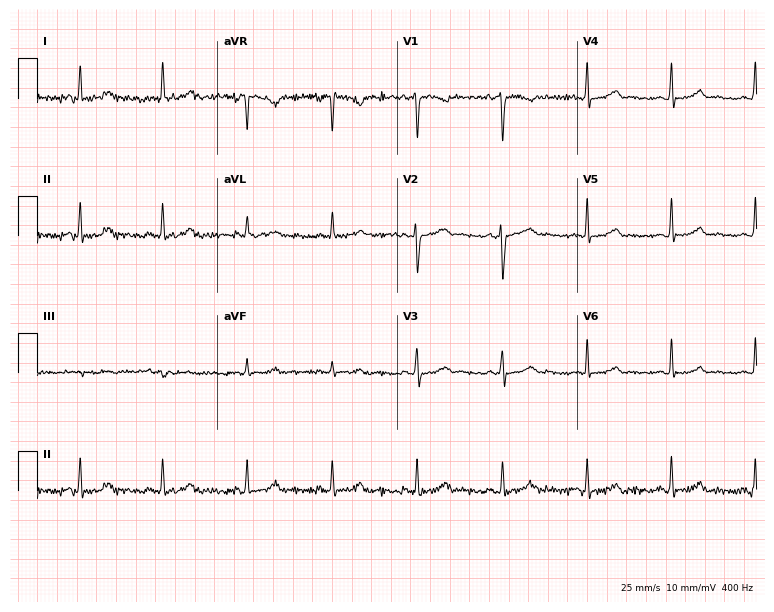
12-lead ECG from a woman, 38 years old. Recorded interpretation: within normal limits.